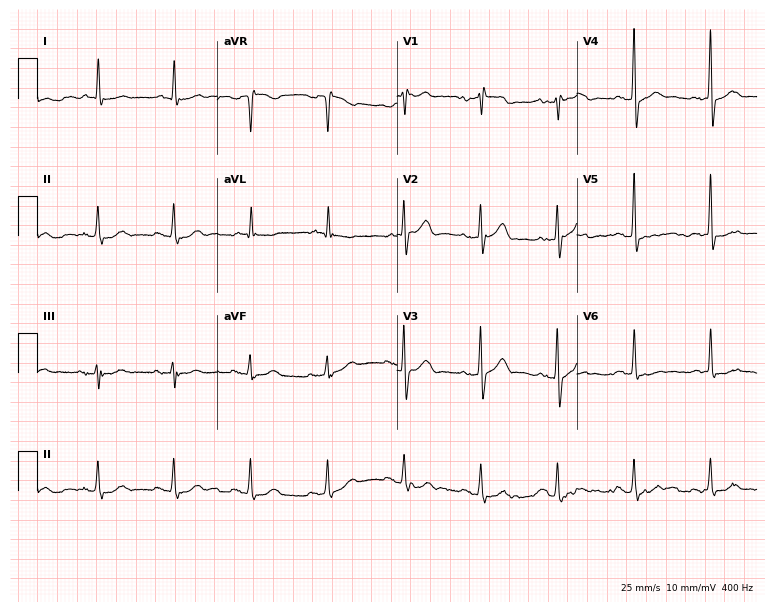
12-lead ECG from a male, 83 years old (7.3-second recording at 400 Hz). Recorded interpretation: within normal limits.